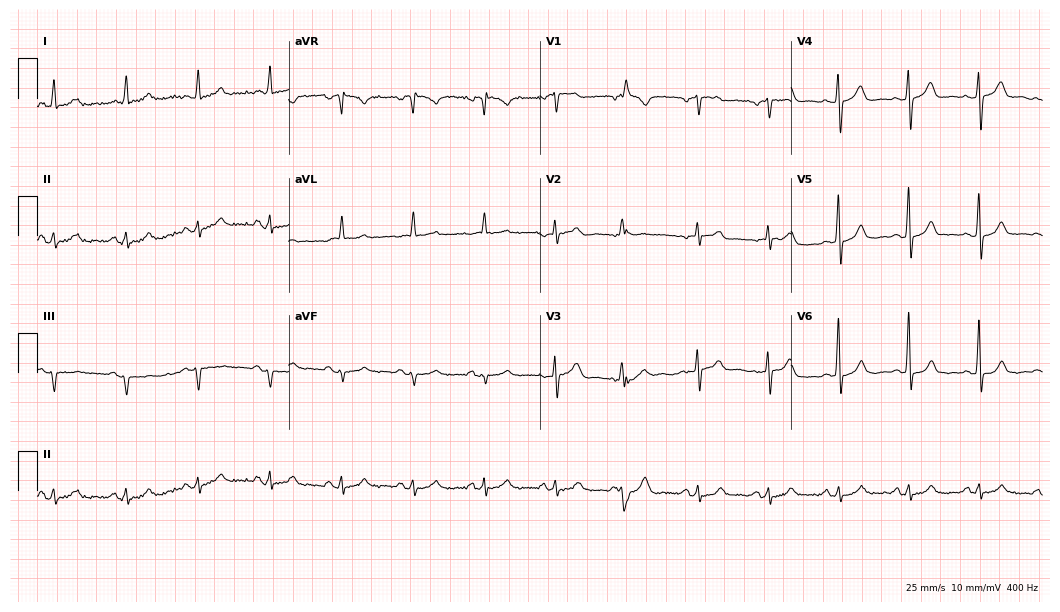
12-lead ECG from a male patient, 75 years old. Screened for six findings — first-degree AV block, right bundle branch block, left bundle branch block, sinus bradycardia, atrial fibrillation, sinus tachycardia — none is recorded.